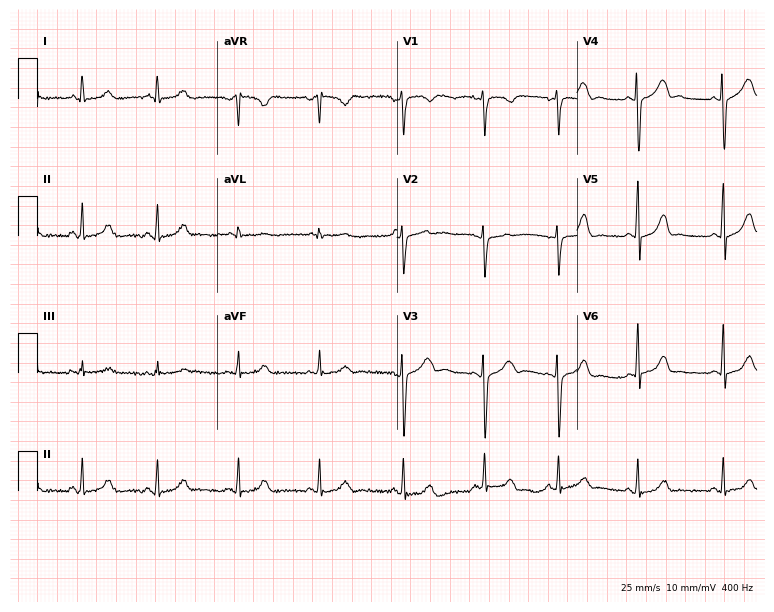
Electrocardiogram, an 18-year-old female. Overall reading on record: normal ECG.